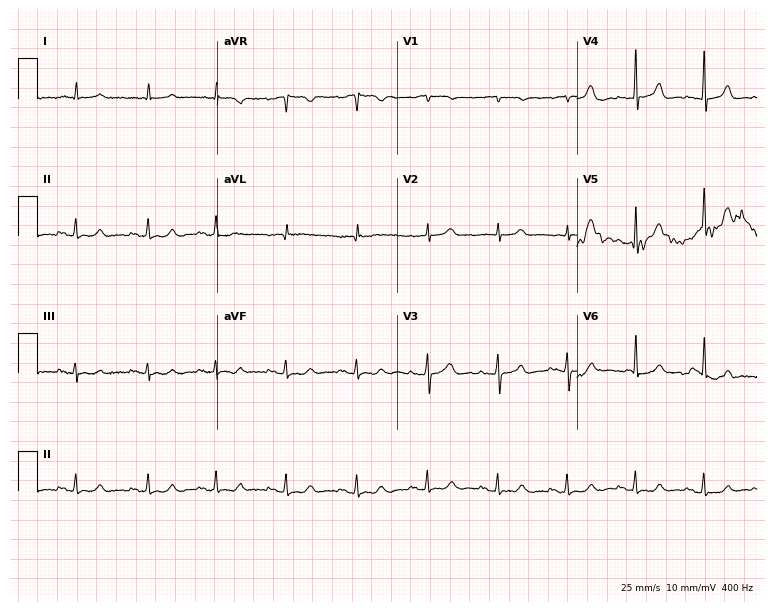
Resting 12-lead electrocardiogram. Patient: a 63-year-old female. Read as a normal ECG.